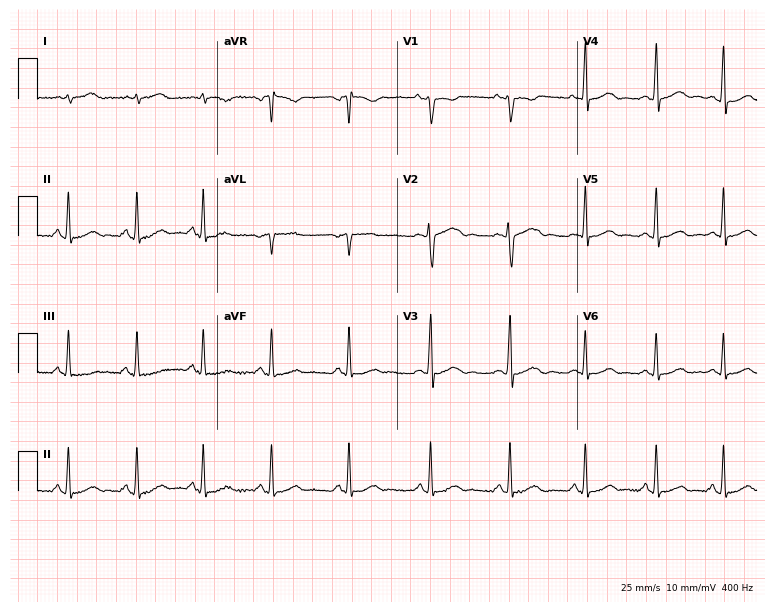
Electrocardiogram (7.3-second recording at 400 Hz), a female patient, 34 years old. Of the six screened findings (first-degree AV block, right bundle branch block (RBBB), left bundle branch block (LBBB), sinus bradycardia, atrial fibrillation (AF), sinus tachycardia), none is recorded. Other findings, if any, are not listed.